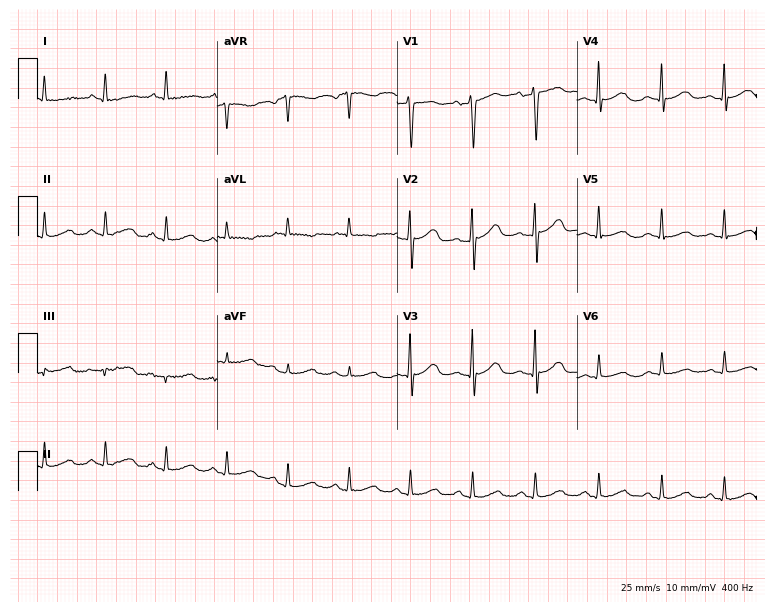
Electrocardiogram (7.3-second recording at 400 Hz), a 60-year-old woman. Of the six screened findings (first-degree AV block, right bundle branch block, left bundle branch block, sinus bradycardia, atrial fibrillation, sinus tachycardia), none is recorded. Findings outside these six are not listed.